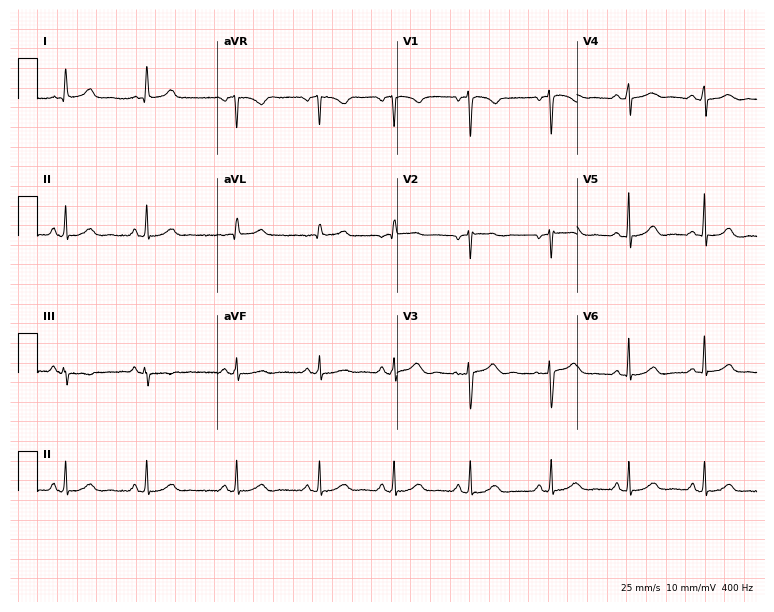
12-lead ECG from a woman, 47 years old (7.3-second recording at 400 Hz). Recorded interpretation: within normal limits.